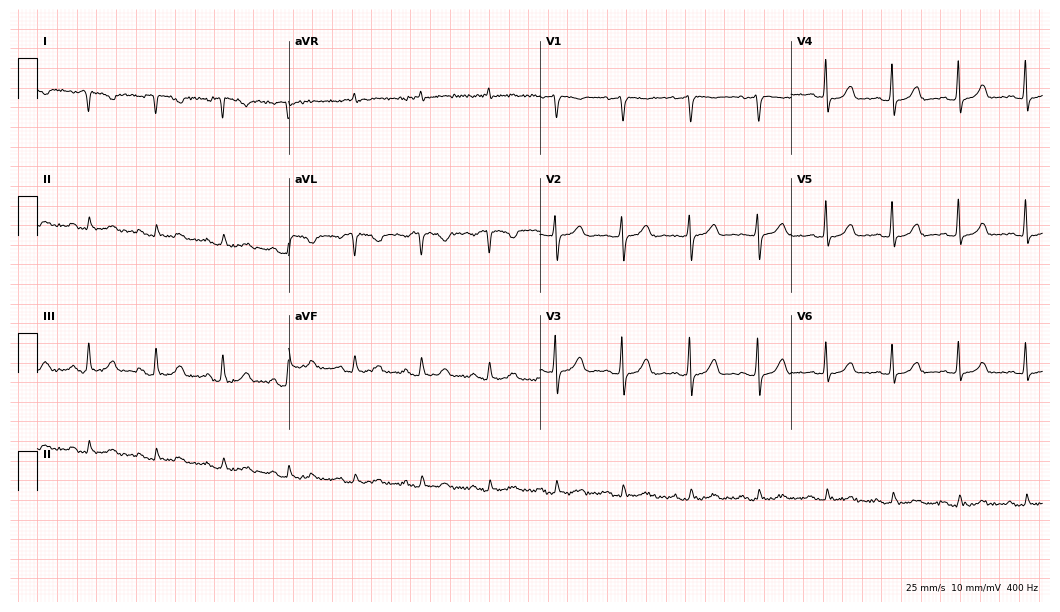
ECG (10.2-second recording at 400 Hz) — a woman, 68 years old. Screened for six findings — first-degree AV block, right bundle branch block (RBBB), left bundle branch block (LBBB), sinus bradycardia, atrial fibrillation (AF), sinus tachycardia — none is recorded. Other findings, if any, are not listed.